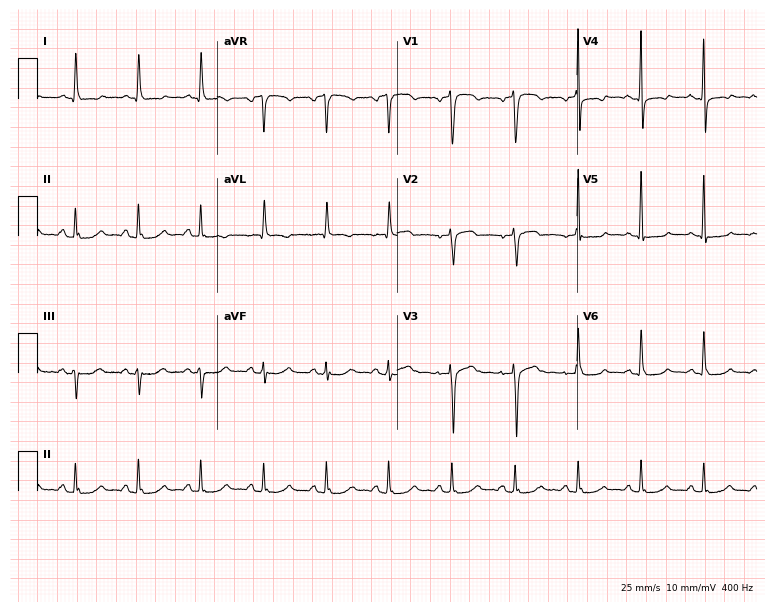
12-lead ECG (7.3-second recording at 400 Hz) from a female, 63 years old. Screened for six findings — first-degree AV block, right bundle branch block, left bundle branch block, sinus bradycardia, atrial fibrillation, sinus tachycardia — none is recorded.